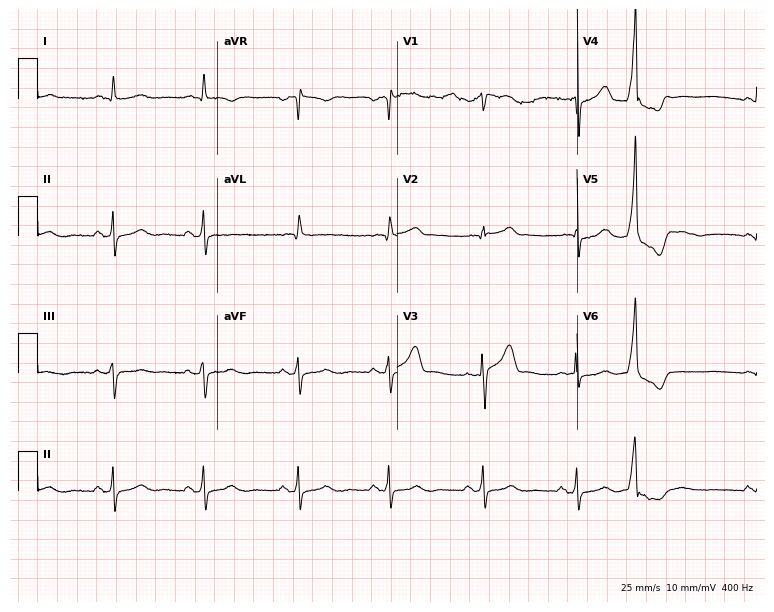
12-lead ECG from a 73-year-old male patient. No first-degree AV block, right bundle branch block (RBBB), left bundle branch block (LBBB), sinus bradycardia, atrial fibrillation (AF) or sinus tachycardia recorded for this tracing. Only these six findings were labelled.